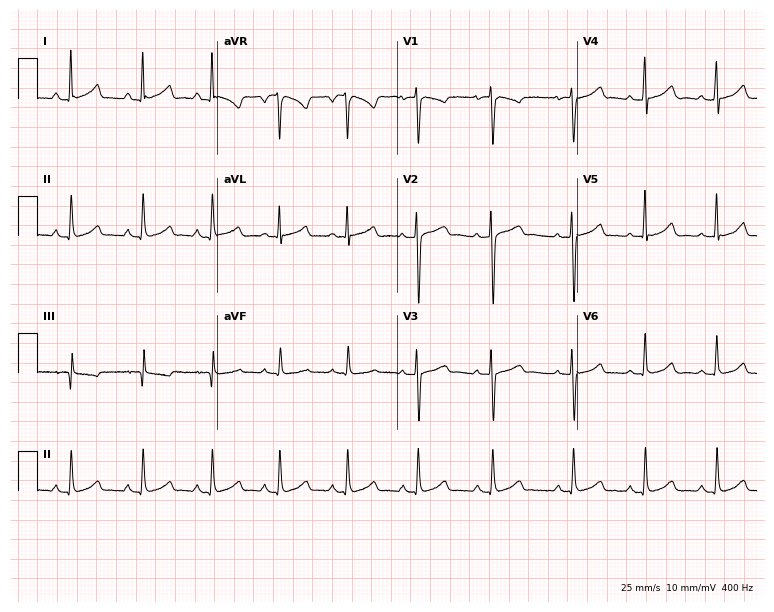
ECG — a female patient, 30 years old. Labelled as a normal ECG.